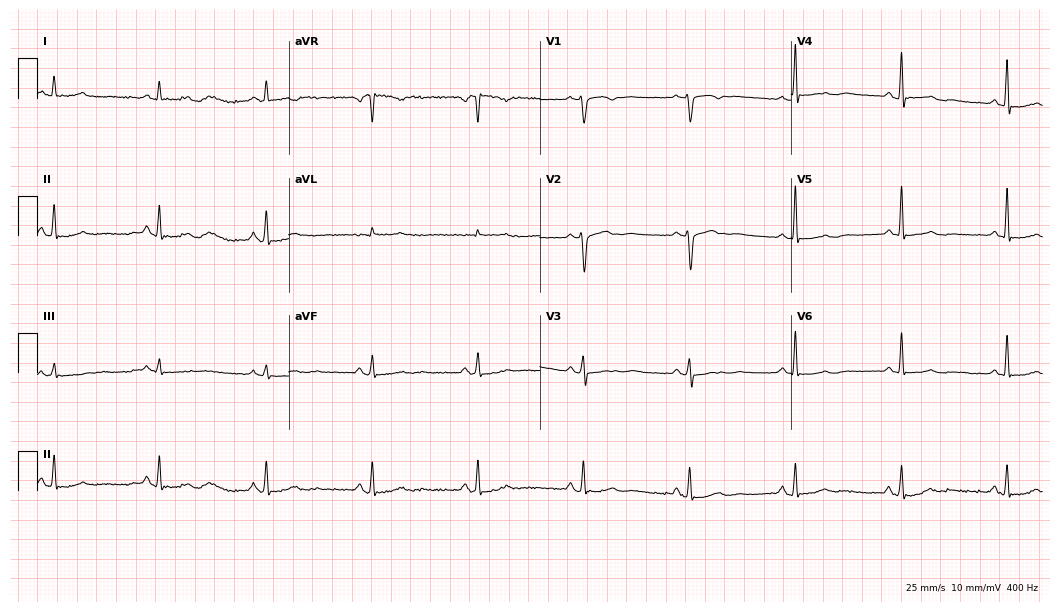
Electrocardiogram, a female, 75 years old. Of the six screened findings (first-degree AV block, right bundle branch block (RBBB), left bundle branch block (LBBB), sinus bradycardia, atrial fibrillation (AF), sinus tachycardia), none is recorded. Only these six findings were labelled.